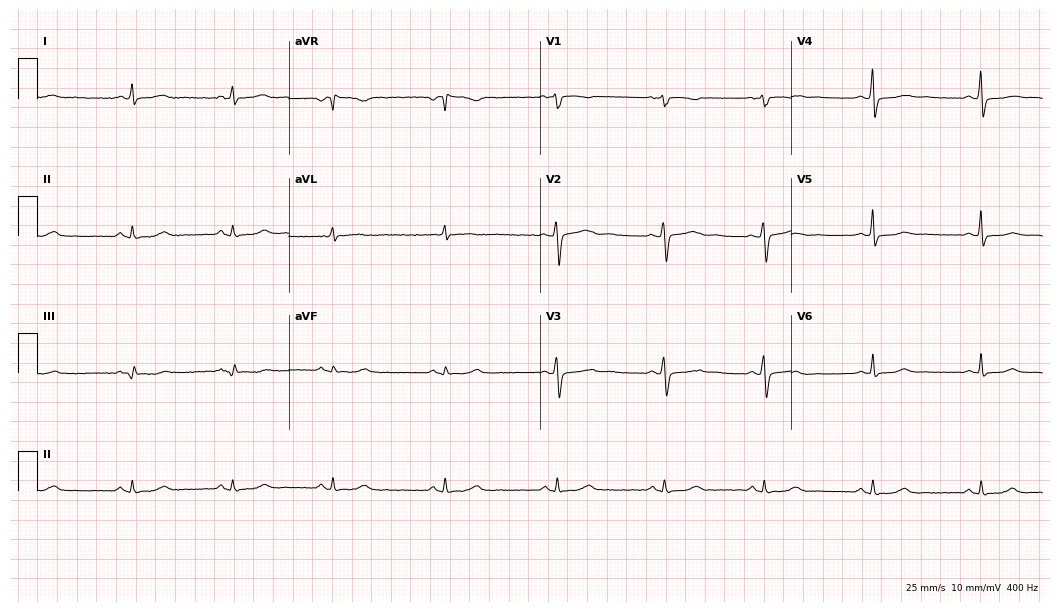
Standard 12-lead ECG recorded from a 48-year-old woman (10.2-second recording at 400 Hz). None of these six findings is recorded: first-degree AV block, right bundle branch block, left bundle branch block, sinus bradycardia, atrial fibrillation, sinus tachycardia. Only these six findings were labelled.